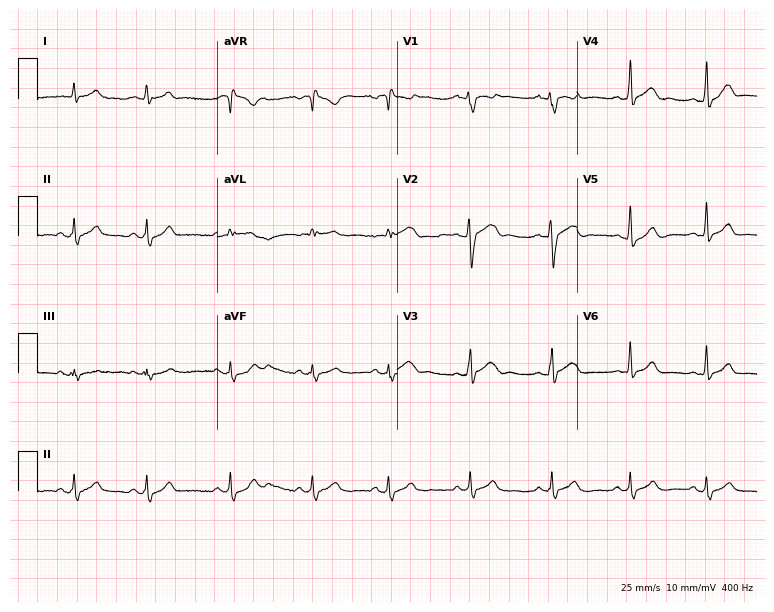
12-lead ECG from a 27-year-old male patient. No first-degree AV block, right bundle branch block, left bundle branch block, sinus bradycardia, atrial fibrillation or sinus tachycardia recorded for this tracing.